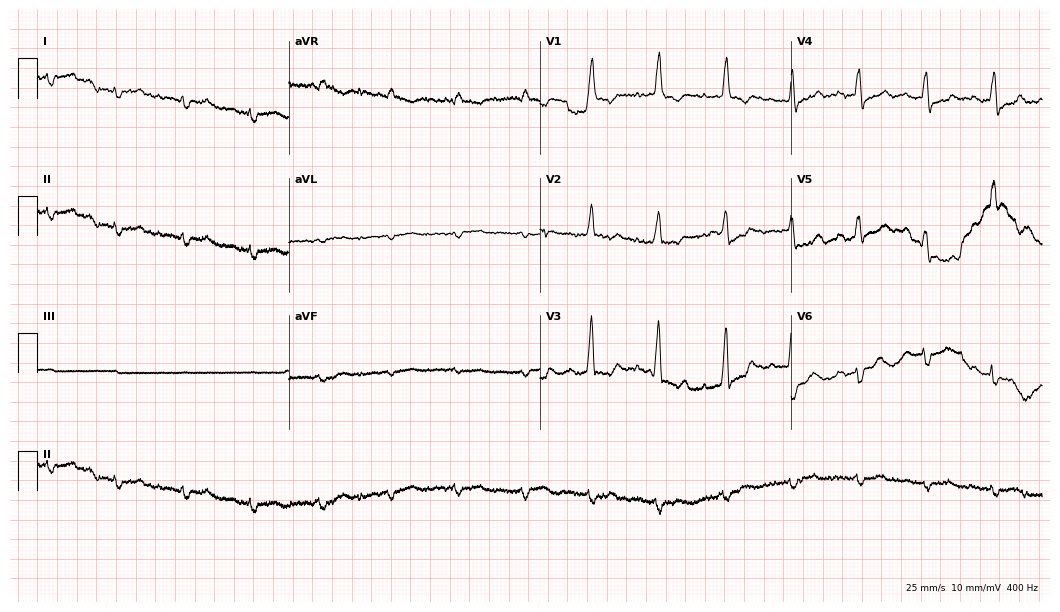
Standard 12-lead ECG recorded from an 84-year-old man. None of these six findings is recorded: first-degree AV block, right bundle branch block, left bundle branch block, sinus bradycardia, atrial fibrillation, sinus tachycardia.